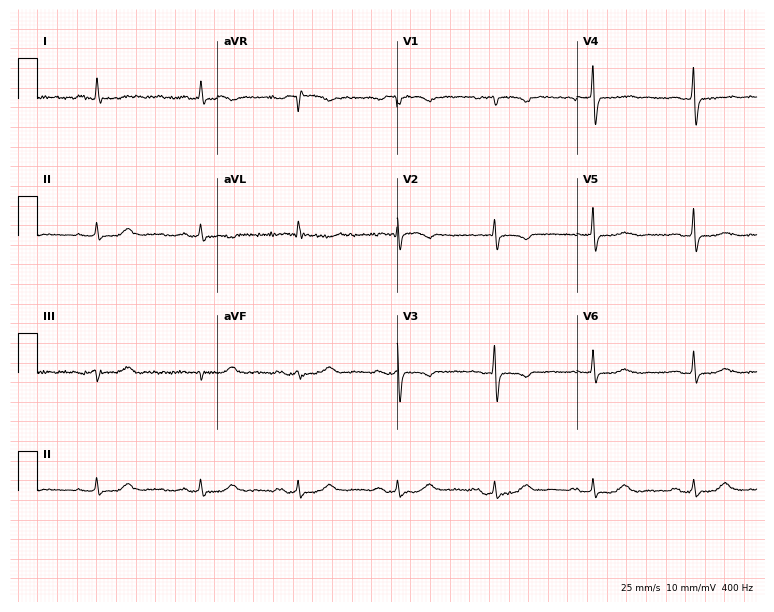
ECG (7.3-second recording at 400 Hz) — a 62-year-old female patient. Screened for six findings — first-degree AV block, right bundle branch block, left bundle branch block, sinus bradycardia, atrial fibrillation, sinus tachycardia — none is recorded. Findings outside these six are not listed.